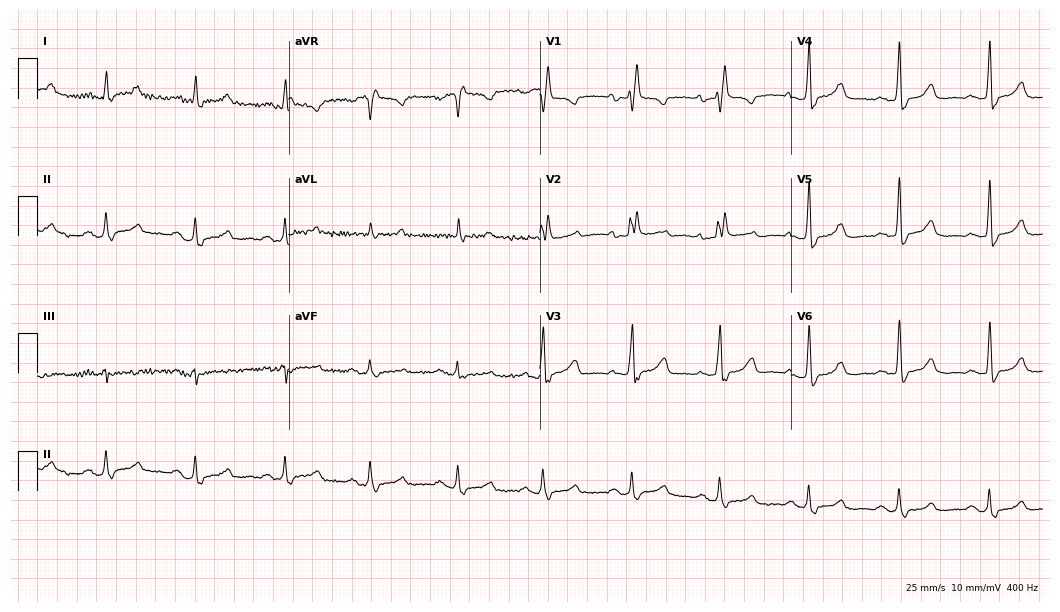
Resting 12-lead electrocardiogram (10.2-second recording at 400 Hz). Patient: a female, 72 years old. The tracing shows right bundle branch block.